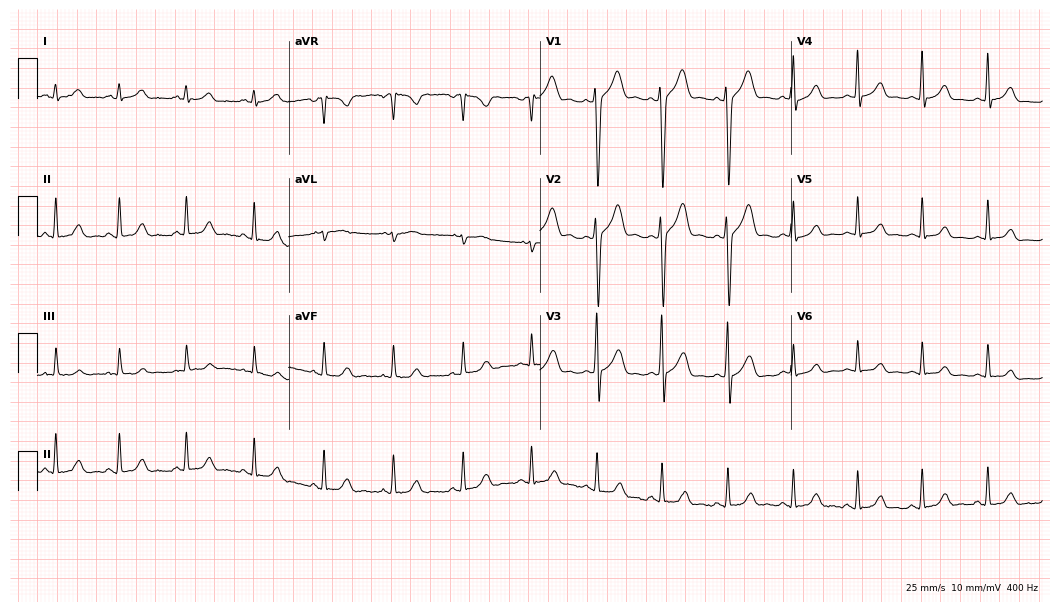
12-lead ECG (10.2-second recording at 400 Hz) from a male patient, 27 years old. Labelled as a normal ECG.